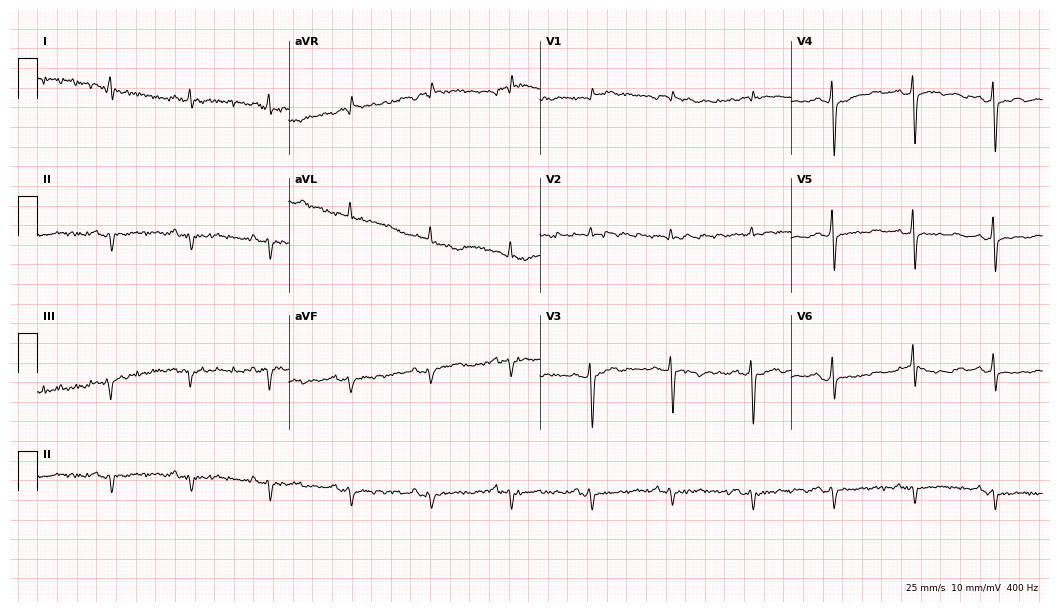
12-lead ECG (10.2-second recording at 400 Hz) from a 74-year-old male patient. Screened for six findings — first-degree AV block, right bundle branch block (RBBB), left bundle branch block (LBBB), sinus bradycardia, atrial fibrillation (AF), sinus tachycardia — none is recorded.